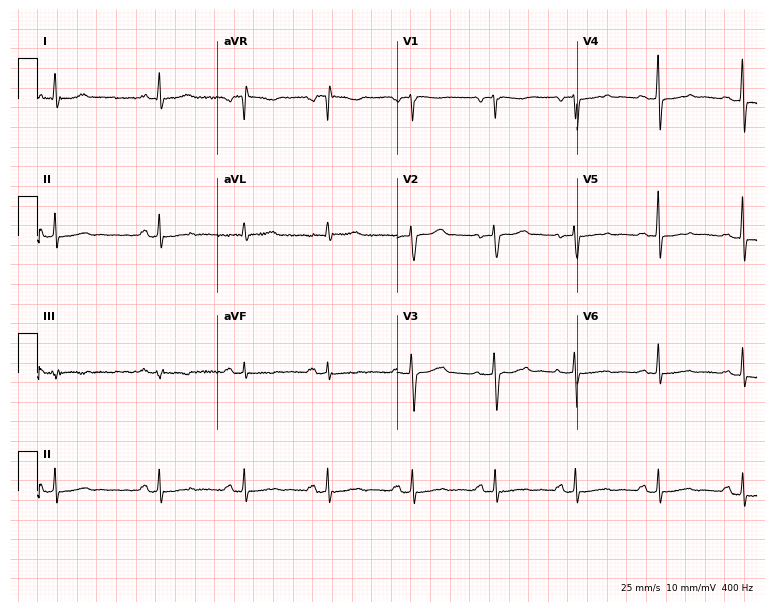
ECG (7.3-second recording at 400 Hz) — a 50-year-old woman. Screened for six findings — first-degree AV block, right bundle branch block, left bundle branch block, sinus bradycardia, atrial fibrillation, sinus tachycardia — none is recorded.